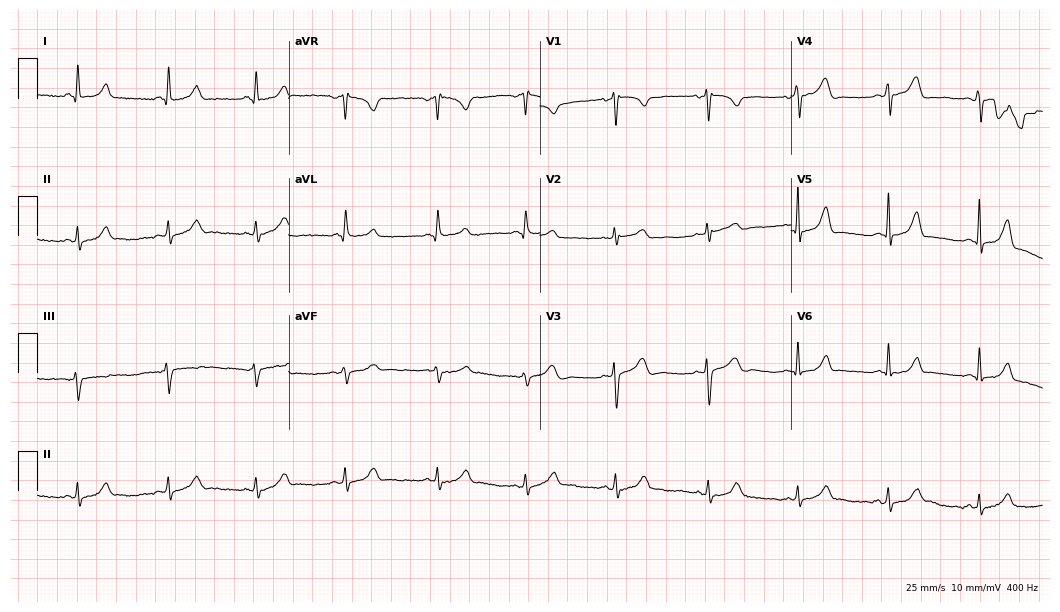
ECG (10.2-second recording at 400 Hz) — a 26-year-old female. Screened for six findings — first-degree AV block, right bundle branch block (RBBB), left bundle branch block (LBBB), sinus bradycardia, atrial fibrillation (AF), sinus tachycardia — none is recorded. Only these six findings were labelled.